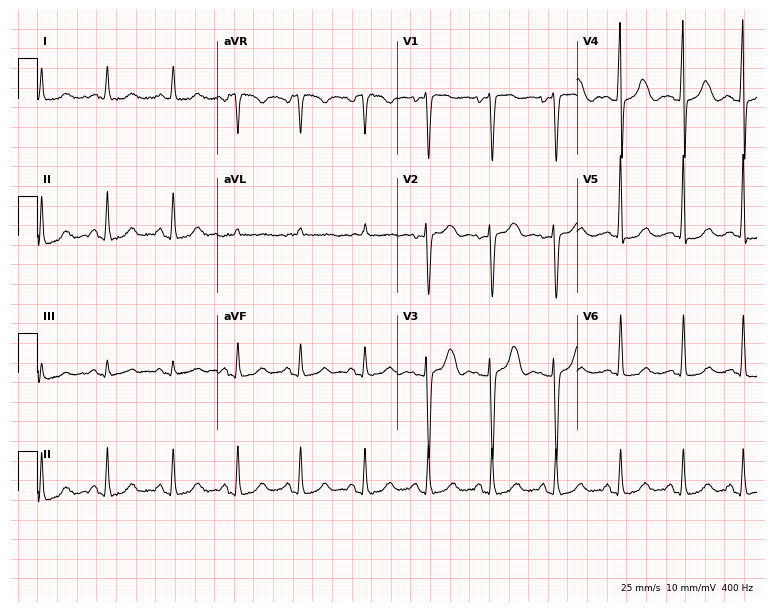
Electrocardiogram, a female, 26 years old. Overall reading on record: normal ECG.